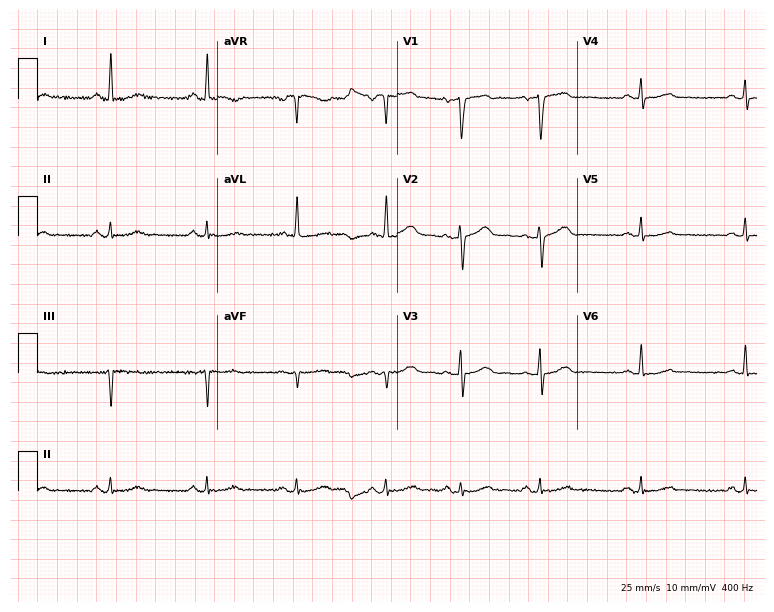
Electrocardiogram, a woman, 45 years old. Of the six screened findings (first-degree AV block, right bundle branch block, left bundle branch block, sinus bradycardia, atrial fibrillation, sinus tachycardia), none is recorded.